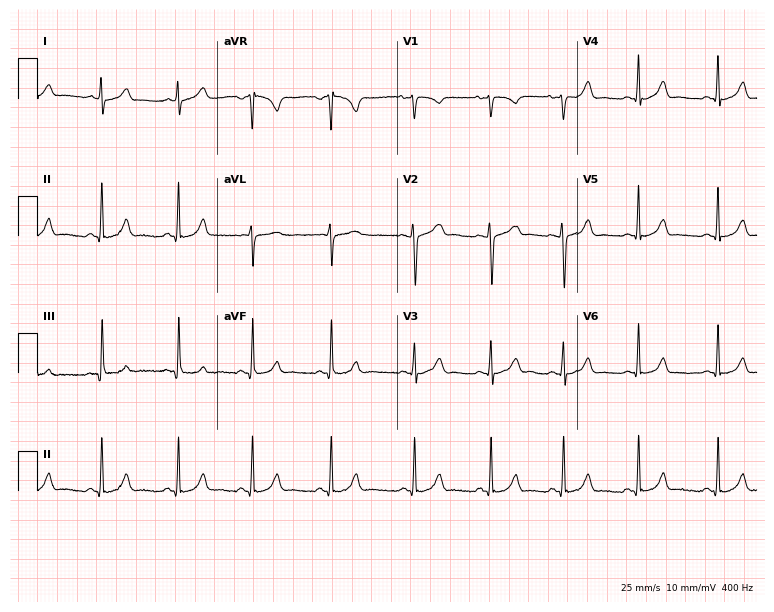
ECG (7.3-second recording at 400 Hz) — a 27-year-old female patient. Screened for six findings — first-degree AV block, right bundle branch block (RBBB), left bundle branch block (LBBB), sinus bradycardia, atrial fibrillation (AF), sinus tachycardia — none is recorded.